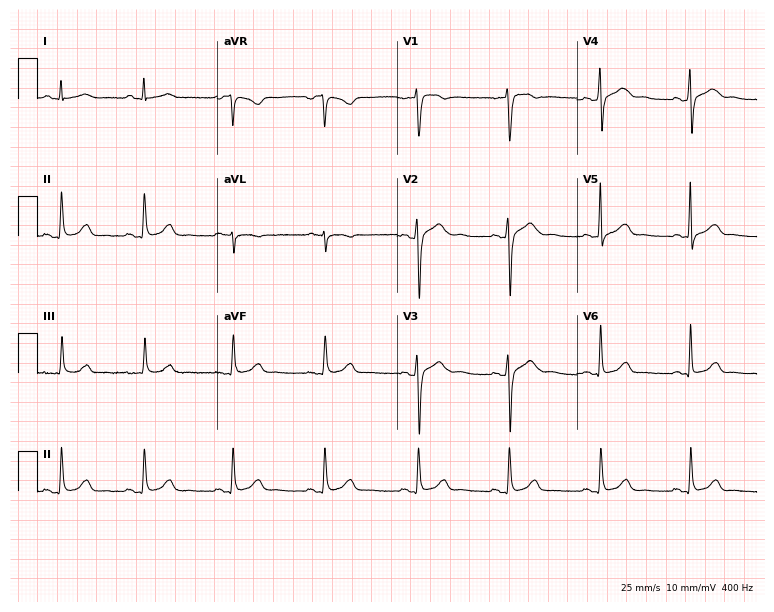
Standard 12-lead ECG recorded from a 42-year-old male. None of these six findings is recorded: first-degree AV block, right bundle branch block (RBBB), left bundle branch block (LBBB), sinus bradycardia, atrial fibrillation (AF), sinus tachycardia. Other findings, if any, are not listed.